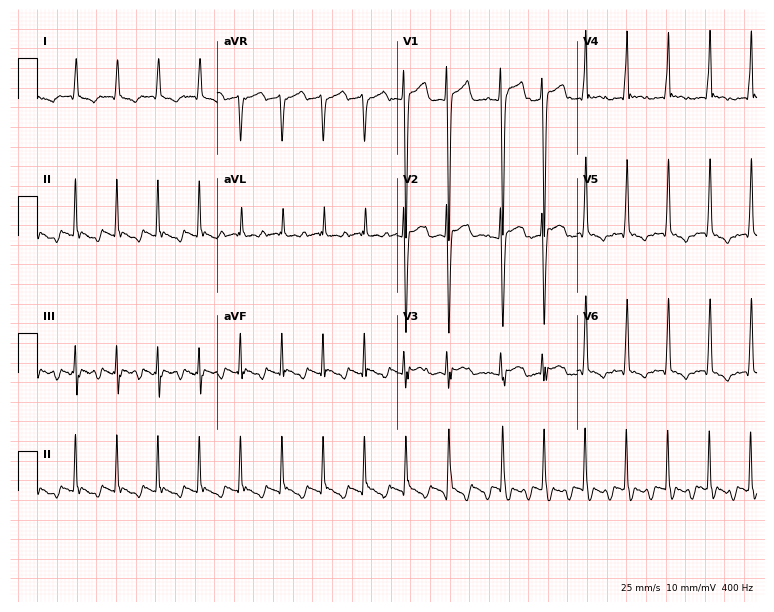
ECG (7.3-second recording at 400 Hz) — a 47-year-old man. Screened for six findings — first-degree AV block, right bundle branch block (RBBB), left bundle branch block (LBBB), sinus bradycardia, atrial fibrillation (AF), sinus tachycardia — none is recorded.